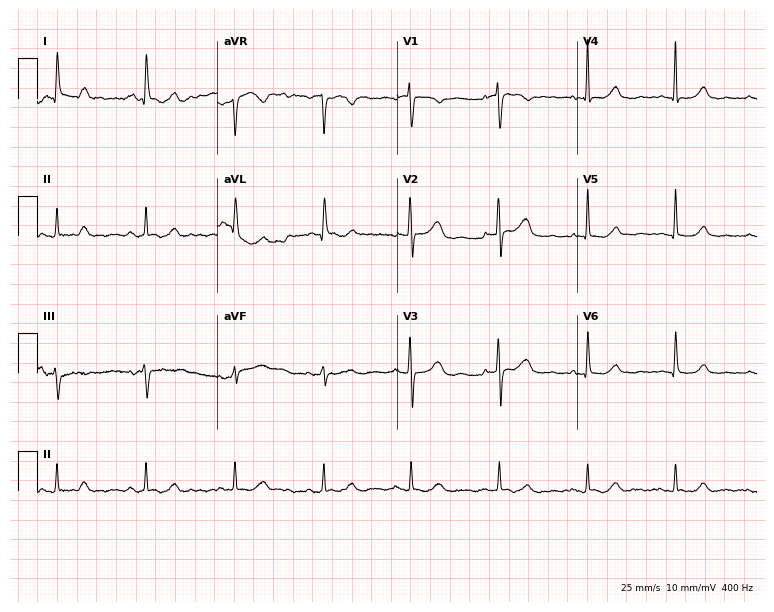
Standard 12-lead ECG recorded from an 82-year-old female patient (7.3-second recording at 400 Hz). None of these six findings is recorded: first-degree AV block, right bundle branch block (RBBB), left bundle branch block (LBBB), sinus bradycardia, atrial fibrillation (AF), sinus tachycardia. Other findings, if any, are not listed.